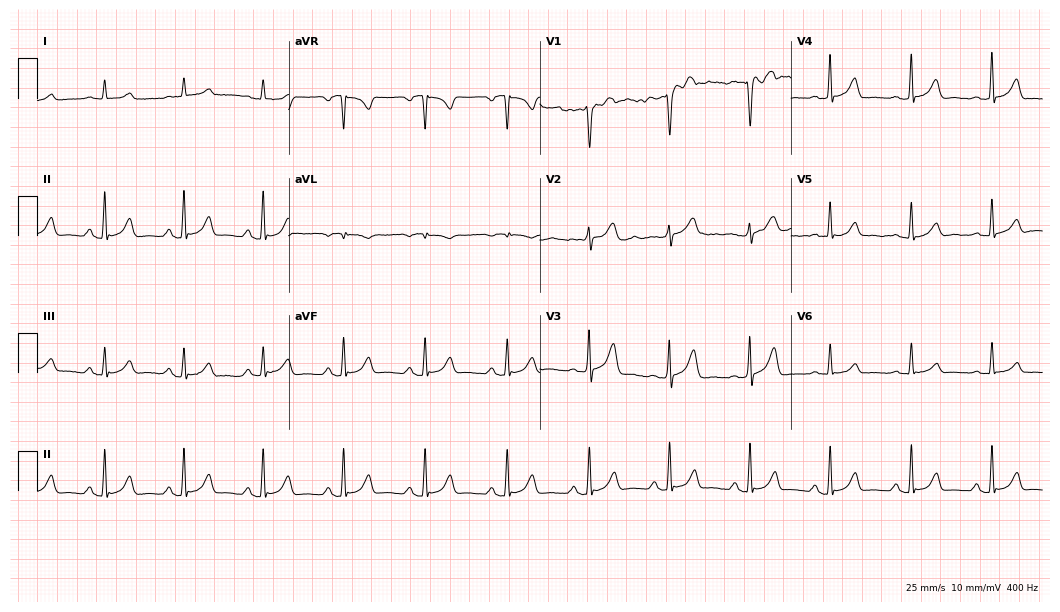
Electrocardiogram, a male patient, 58 years old. Overall reading on record: normal ECG.